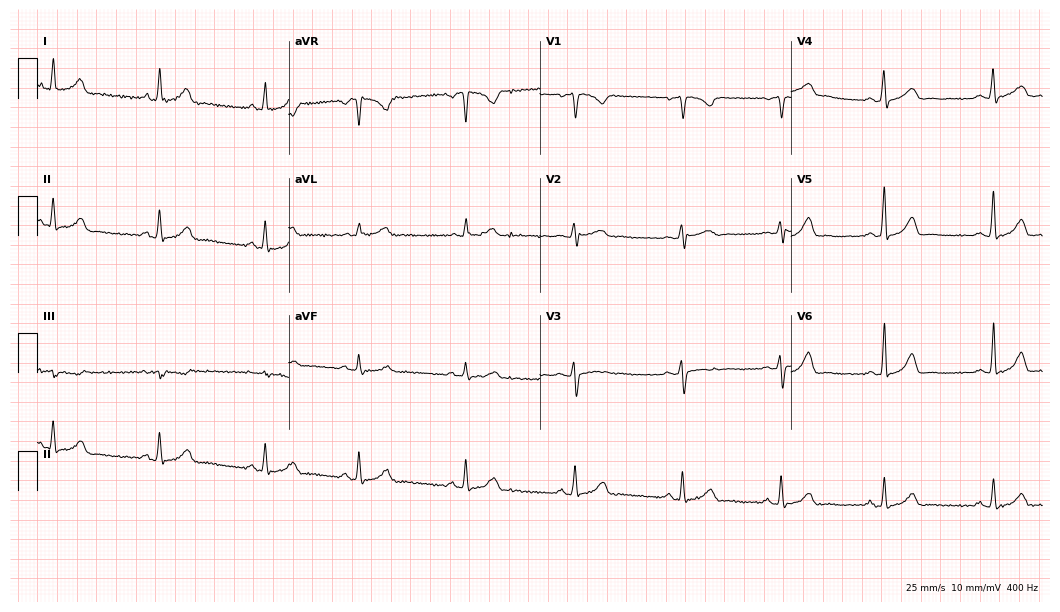
ECG (10.2-second recording at 400 Hz) — a 33-year-old female patient. Labelled as a normal ECG.